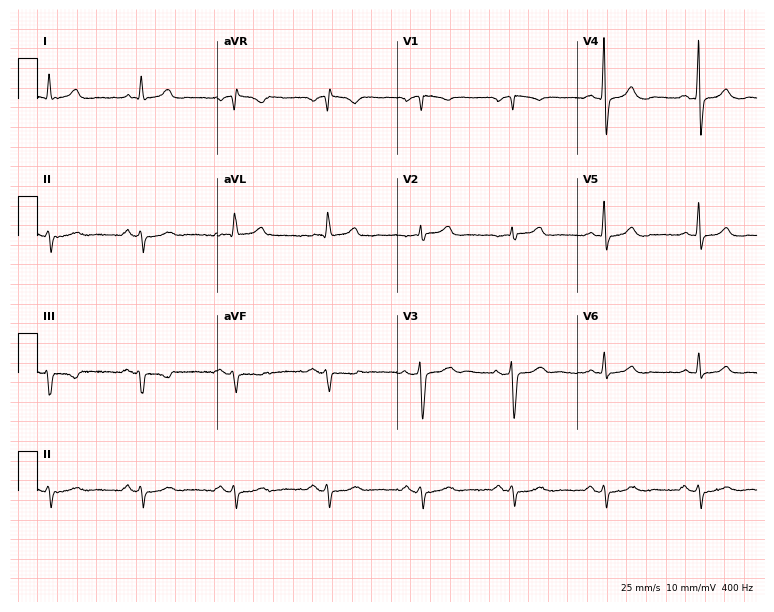
12-lead ECG from a man, 73 years old (7.3-second recording at 400 Hz). No first-degree AV block, right bundle branch block, left bundle branch block, sinus bradycardia, atrial fibrillation or sinus tachycardia recorded for this tracing. Findings outside these six are not listed.